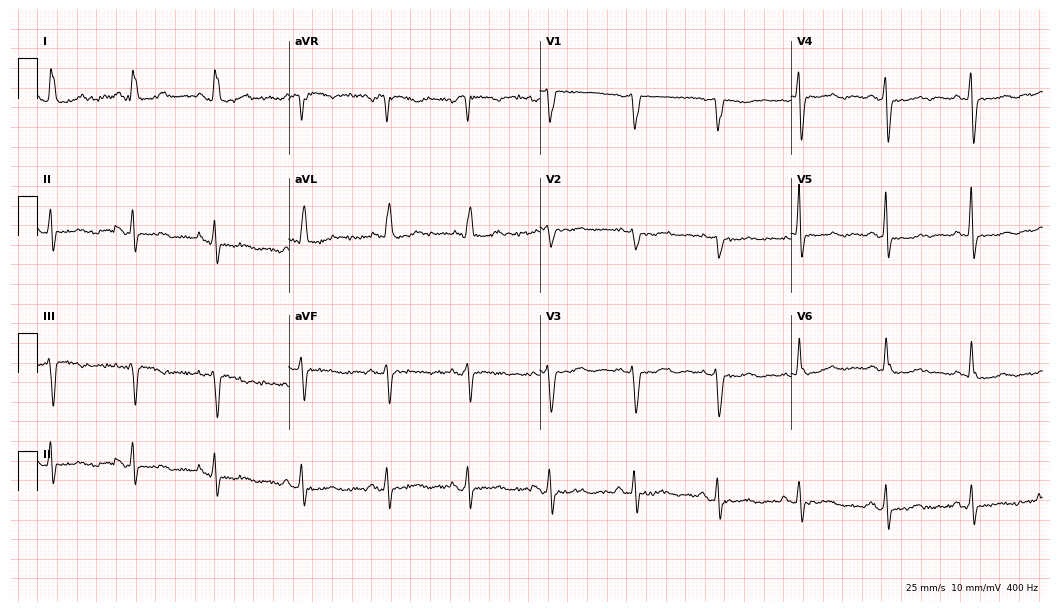
12-lead ECG from a female patient, 73 years old (10.2-second recording at 400 Hz). Shows left bundle branch block (LBBB).